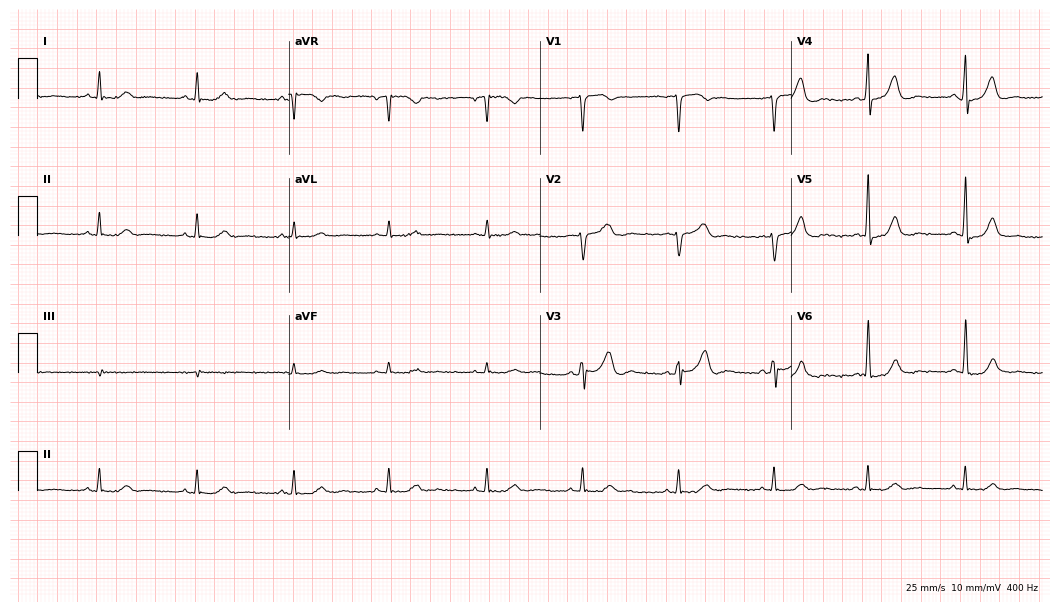
Standard 12-lead ECG recorded from a 50-year-old man (10.2-second recording at 400 Hz). None of these six findings is recorded: first-degree AV block, right bundle branch block, left bundle branch block, sinus bradycardia, atrial fibrillation, sinus tachycardia. Only these six findings were labelled.